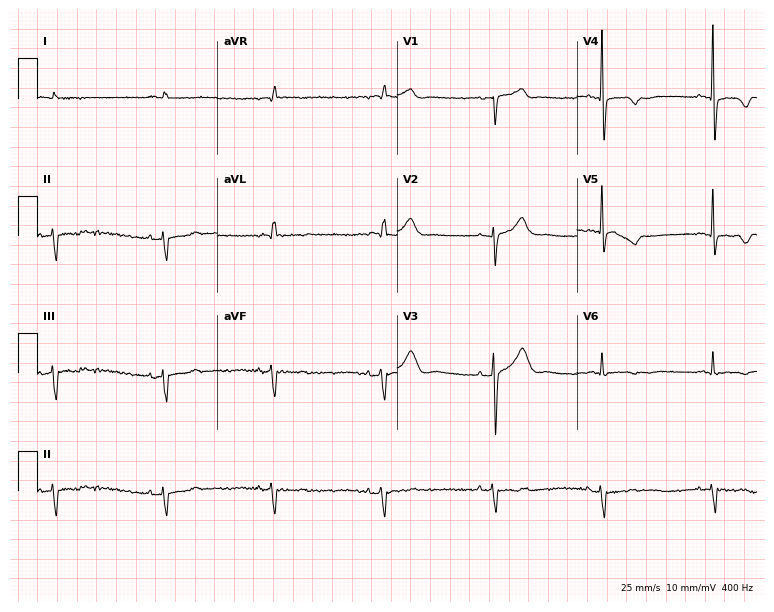
ECG (7.3-second recording at 400 Hz) — a man, 74 years old. Screened for six findings — first-degree AV block, right bundle branch block, left bundle branch block, sinus bradycardia, atrial fibrillation, sinus tachycardia — none is recorded. Other findings, if any, are not listed.